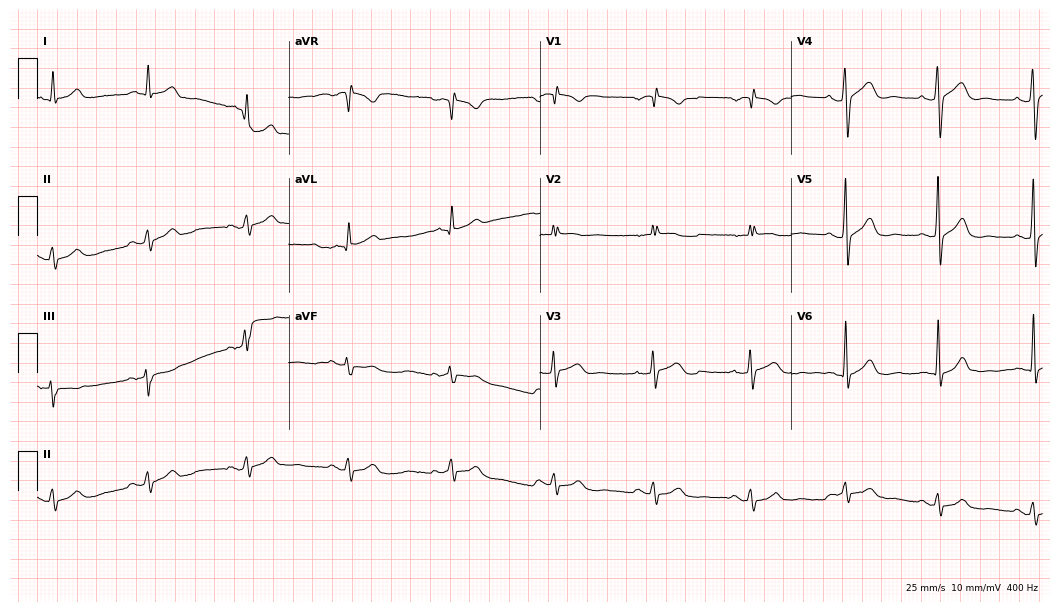
Resting 12-lead electrocardiogram. Patient: a man, 49 years old. None of these six findings is recorded: first-degree AV block, right bundle branch block, left bundle branch block, sinus bradycardia, atrial fibrillation, sinus tachycardia.